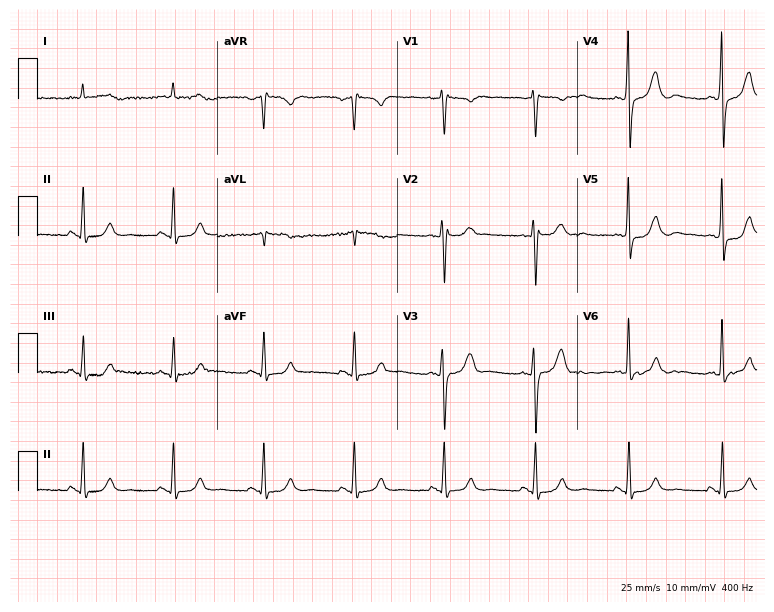
Resting 12-lead electrocardiogram. Patient: a male, 52 years old. None of these six findings is recorded: first-degree AV block, right bundle branch block, left bundle branch block, sinus bradycardia, atrial fibrillation, sinus tachycardia. Other findings, if any, are not listed.